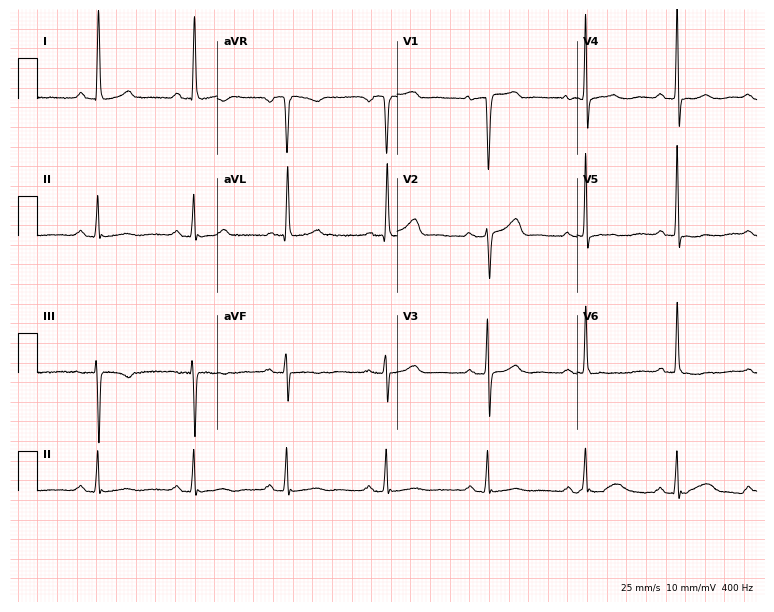
Resting 12-lead electrocardiogram. Patient: a 49-year-old female. None of these six findings is recorded: first-degree AV block, right bundle branch block, left bundle branch block, sinus bradycardia, atrial fibrillation, sinus tachycardia.